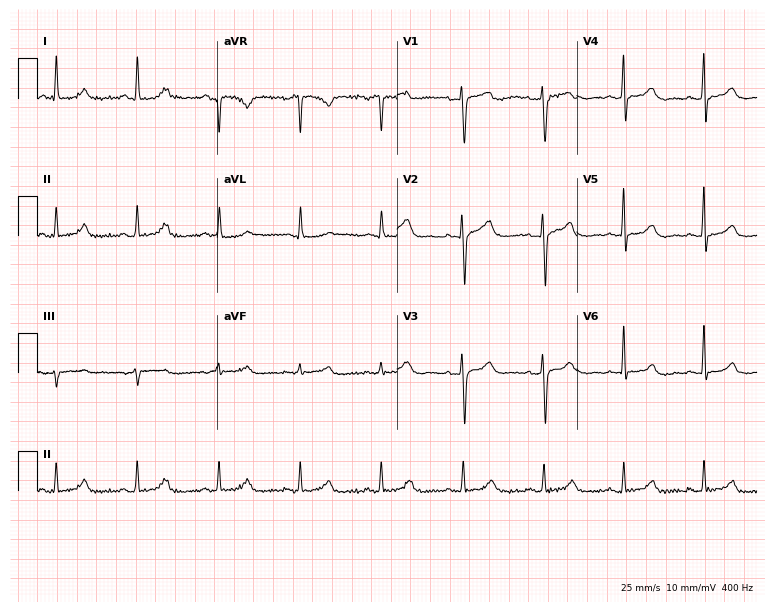
Resting 12-lead electrocardiogram (7.3-second recording at 400 Hz). Patient: a woman, 59 years old. Read as a normal ECG.